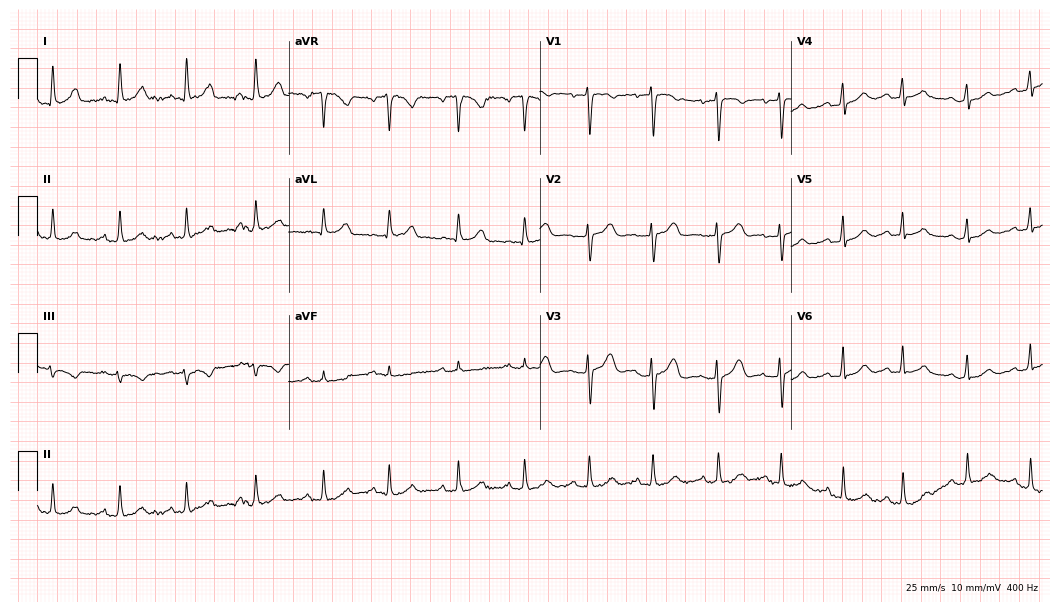
12-lead ECG from a female patient, 31 years old. Screened for six findings — first-degree AV block, right bundle branch block (RBBB), left bundle branch block (LBBB), sinus bradycardia, atrial fibrillation (AF), sinus tachycardia — none is recorded. Only these six findings were labelled.